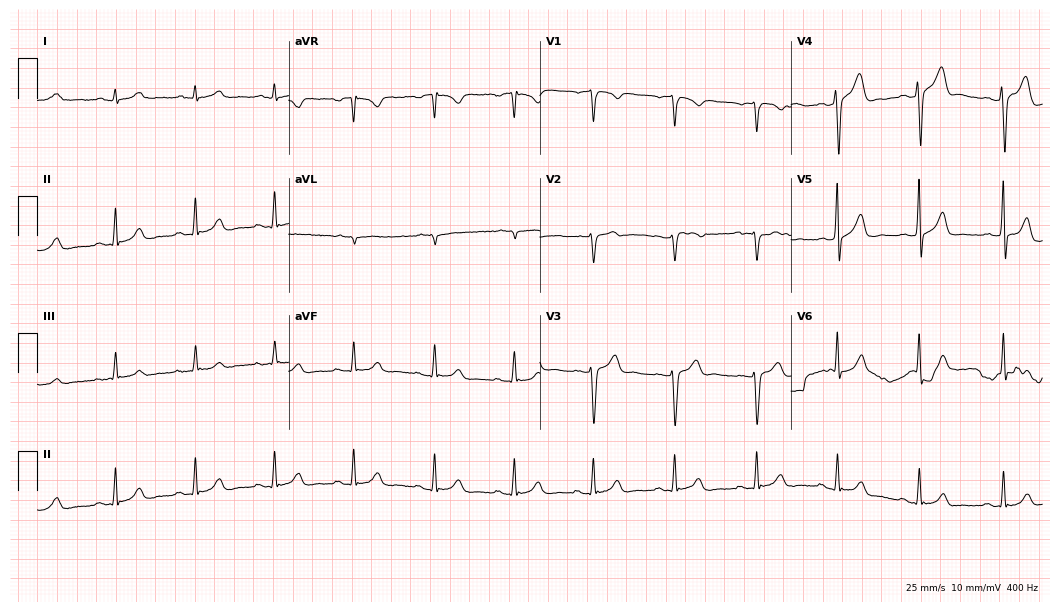
12-lead ECG (10.2-second recording at 400 Hz) from a 50-year-old man. Labelled as a normal ECG.